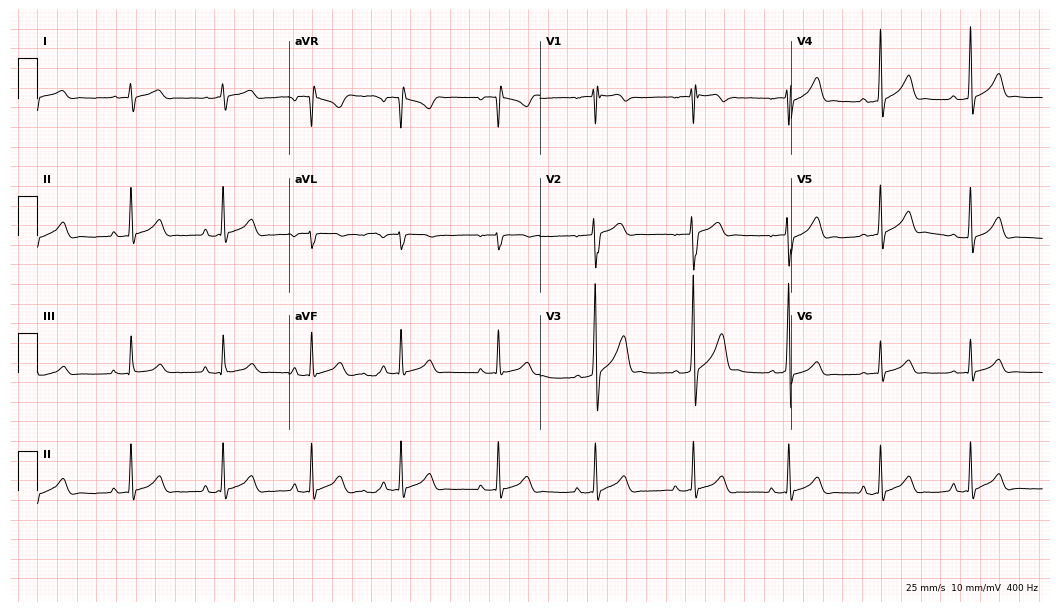
Standard 12-lead ECG recorded from an 18-year-old male (10.2-second recording at 400 Hz). Read as a normal ECG.